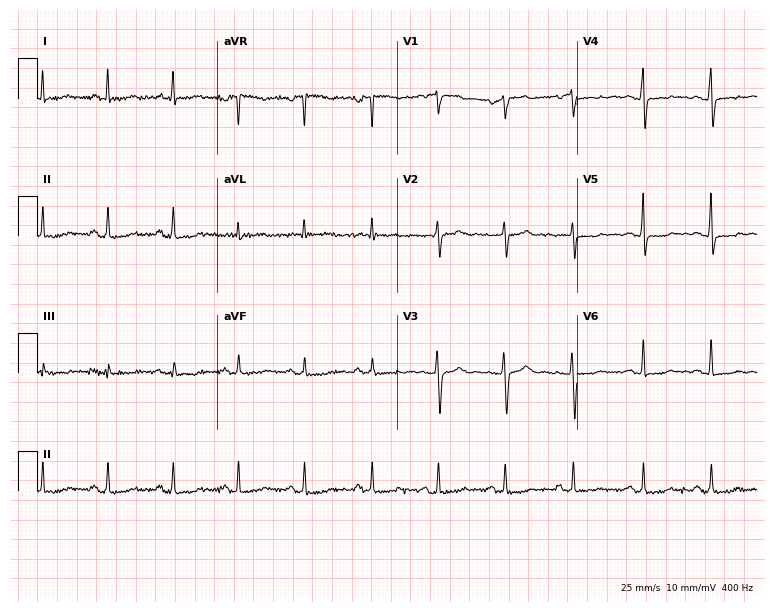
Resting 12-lead electrocardiogram. Patient: a 55-year-old female. Read as a normal ECG.